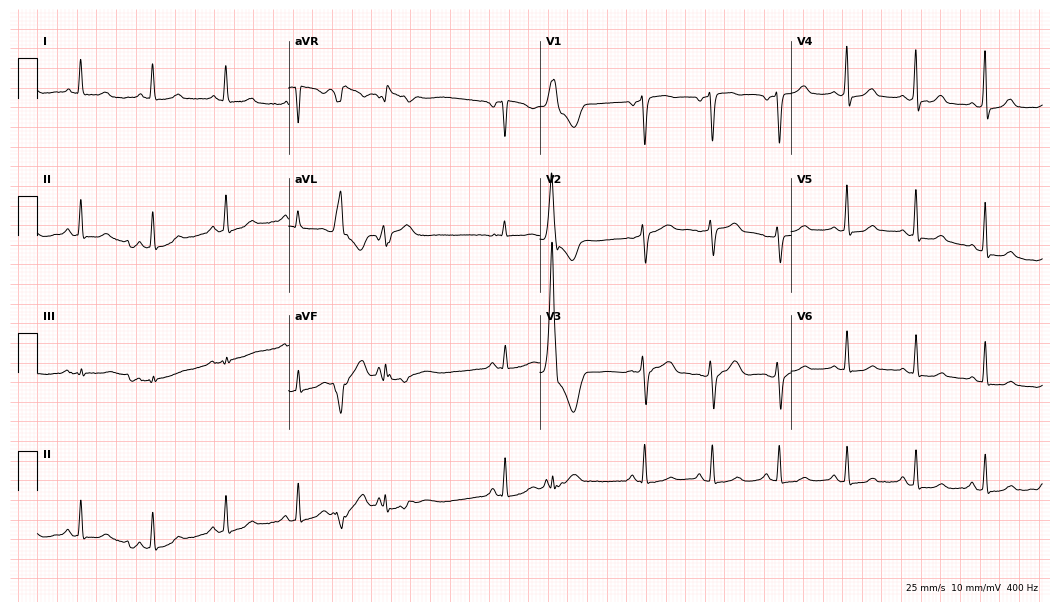
Resting 12-lead electrocardiogram. Patient: a female, 67 years old. None of these six findings is recorded: first-degree AV block, right bundle branch block, left bundle branch block, sinus bradycardia, atrial fibrillation, sinus tachycardia. Other findings, if any, are not listed.